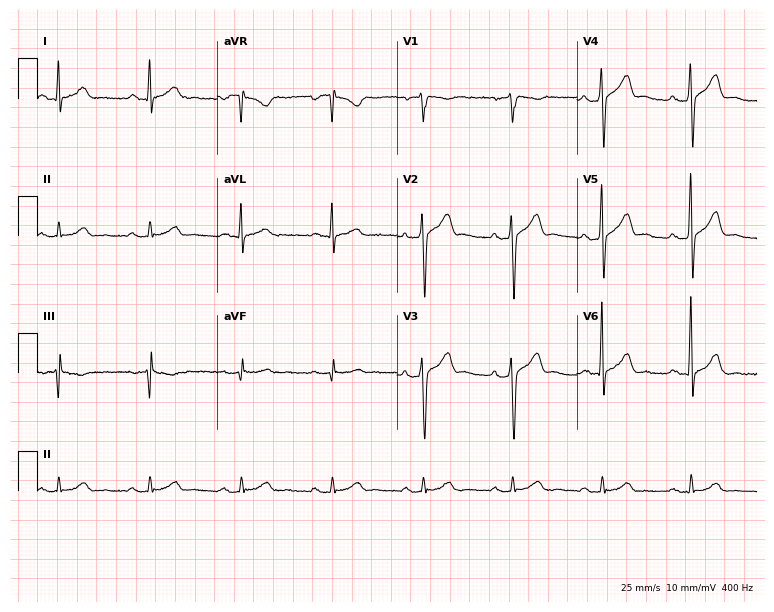
Resting 12-lead electrocardiogram (7.3-second recording at 400 Hz). Patient: a 53-year-old man. Read as a normal ECG.